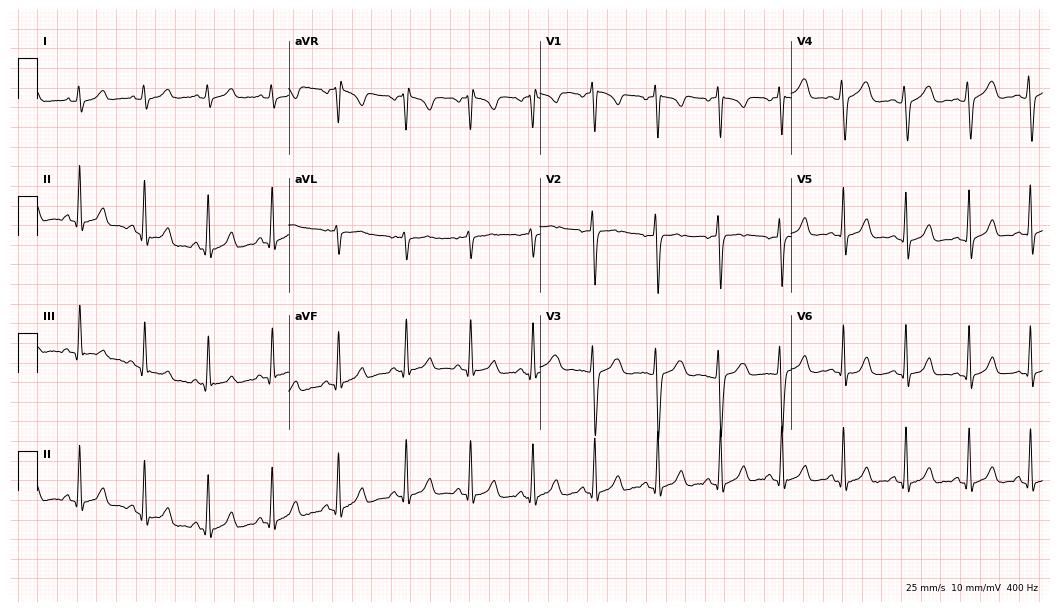
Resting 12-lead electrocardiogram (10.2-second recording at 400 Hz). Patient: a 21-year-old female. None of these six findings is recorded: first-degree AV block, right bundle branch block, left bundle branch block, sinus bradycardia, atrial fibrillation, sinus tachycardia. Other findings, if any, are not listed.